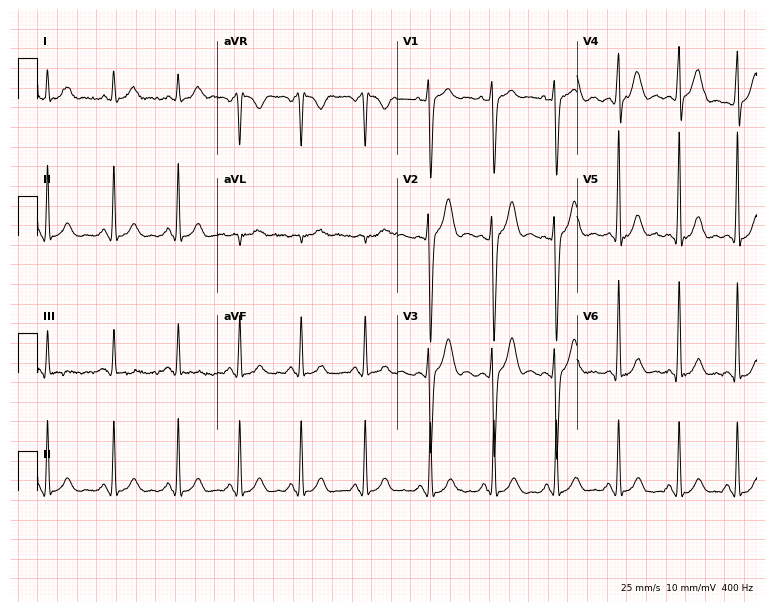
Resting 12-lead electrocardiogram. Patient: a 30-year-old male. Read as a normal ECG.